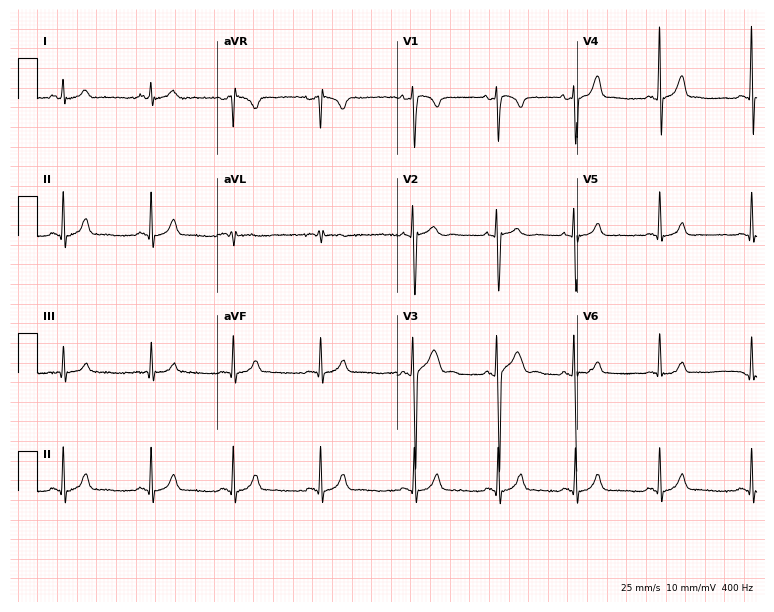
Electrocardiogram (7.3-second recording at 400 Hz), a male, 19 years old. Of the six screened findings (first-degree AV block, right bundle branch block, left bundle branch block, sinus bradycardia, atrial fibrillation, sinus tachycardia), none is recorded. Only these six findings were labelled.